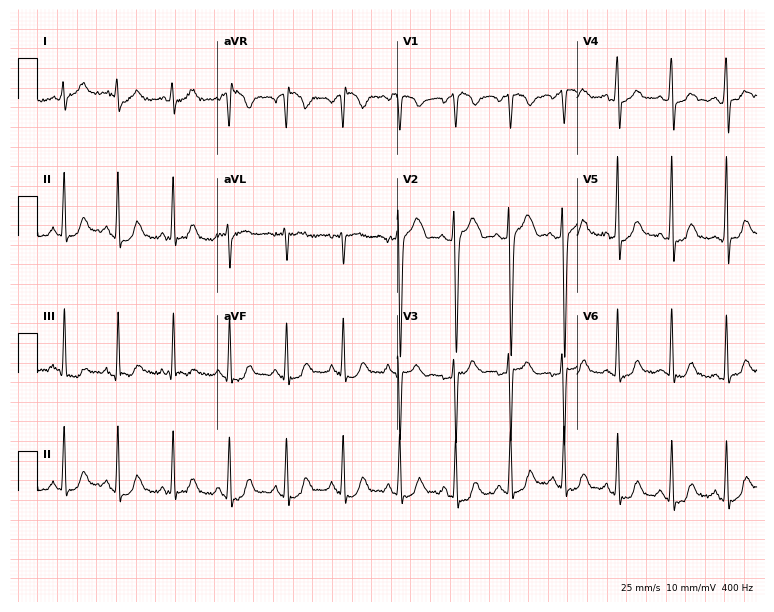
ECG — a 35-year-old male patient. Findings include sinus tachycardia (a sinus rate of 100 beats per minute or more).